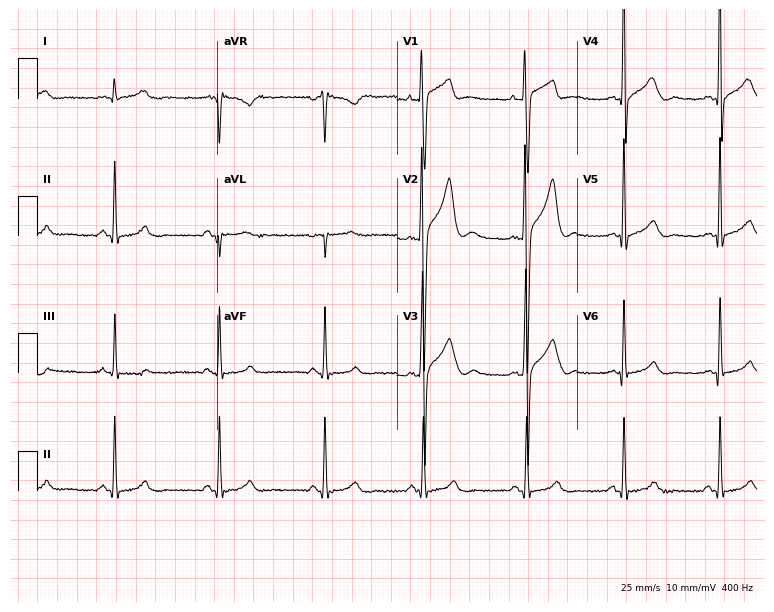
Standard 12-lead ECG recorded from a man, 24 years old. None of these six findings is recorded: first-degree AV block, right bundle branch block (RBBB), left bundle branch block (LBBB), sinus bradycardia, atrial fibrillation (AF), sinus tachycardia. Only these six findings were labelled.